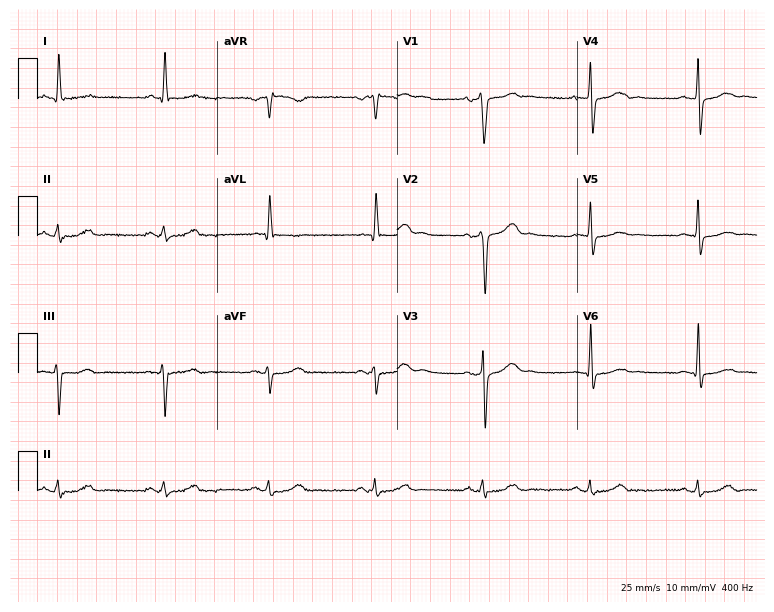
Standard 12-lead ECG recorded from a male patient, 72 years old. None of these six findings is recorded: first-degree AV block, right bundle branch block, left bundle branch block, sinus bradycardia, atrial fibrillation, sinus tachycardia. Only these six findings were labelled.